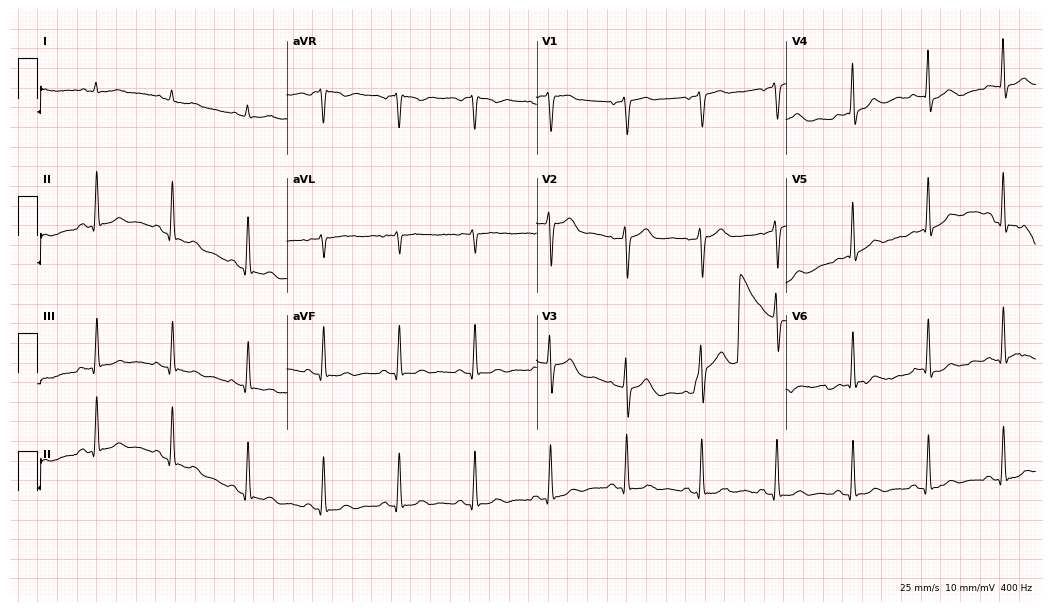
Standard 12-lead ECG recorded from a 68-year-old male patient (10.2-second recording at 400 Hz). Read as a normal ECG.